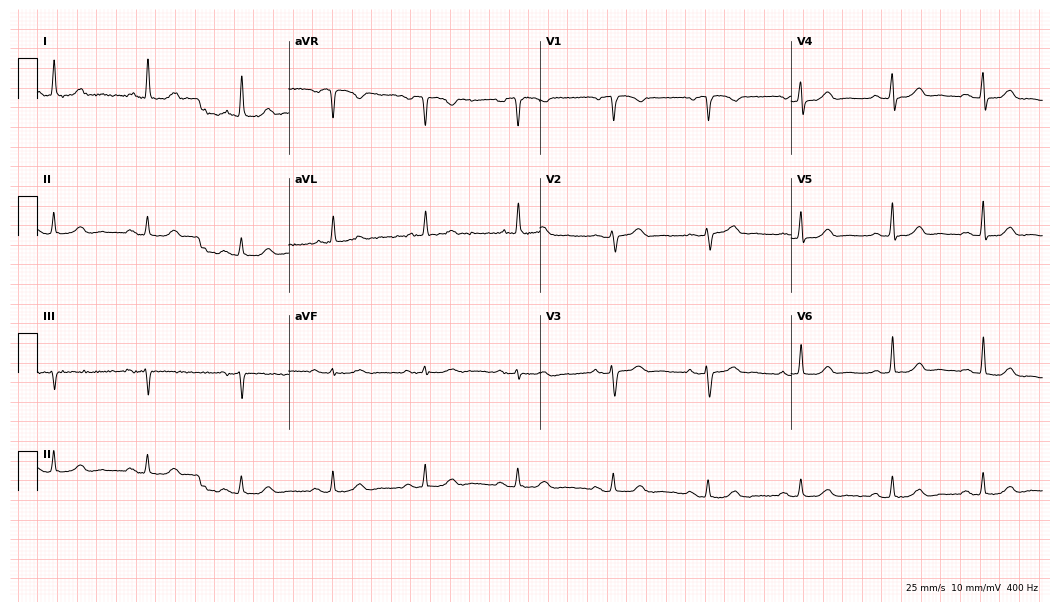
12-lead ECG from a 68-year-old woman. Recorded interpretation: within normal limits.